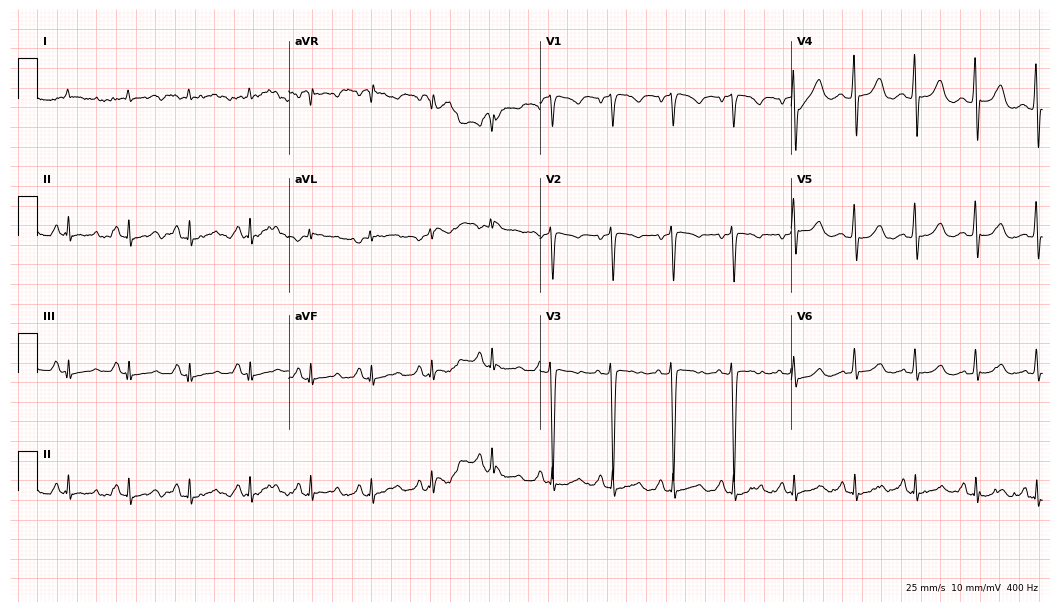
Resting 12-lead electrocardiogram. Patient: a female, 48 years old. None of these six findings is recorded: first-degree AV block, right bundle branch block, left bundle branch block, sinus bradycardia, atrial fibrillation, sinus tachycardia. Other findings, if any, are not listed.